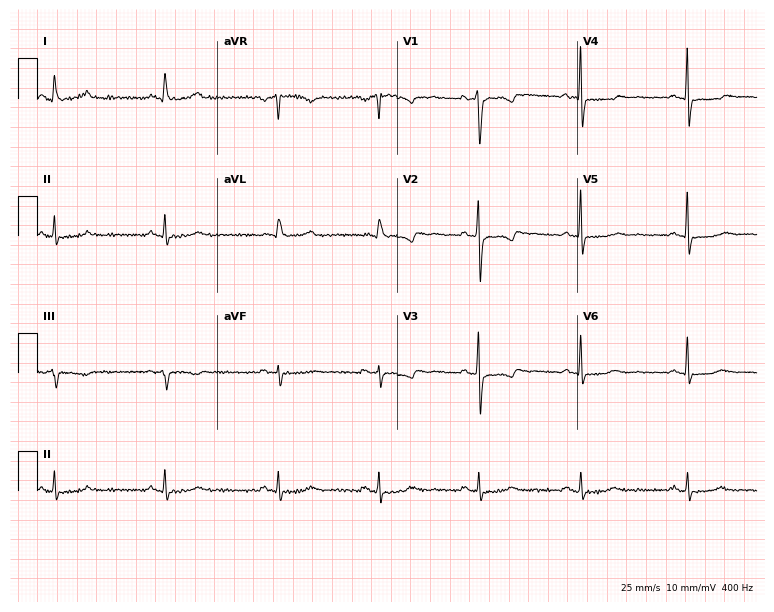
12-lead ECG from a 56-year-old female. Screened for six findings — first-degree AV block, right bundle branch block, left bundle branch block, sinus bradycardia, atrial fibrillation, sinus tachycardia — none is recorded.